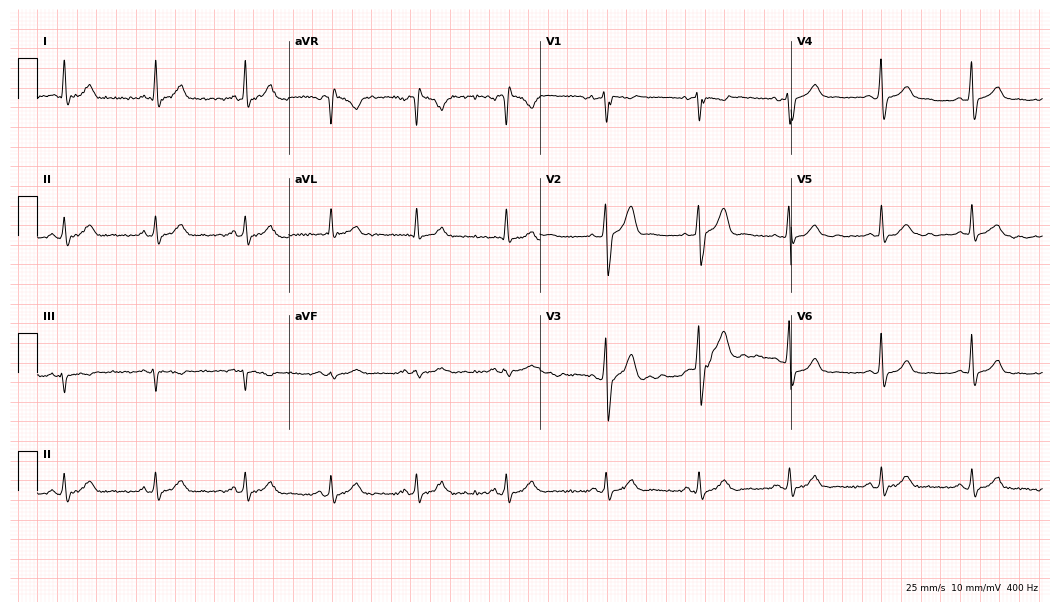
Electrocardiogram (10.2-second recording at 400 Hz), a male, 52 years old. Overall reading on record: normal ECG.